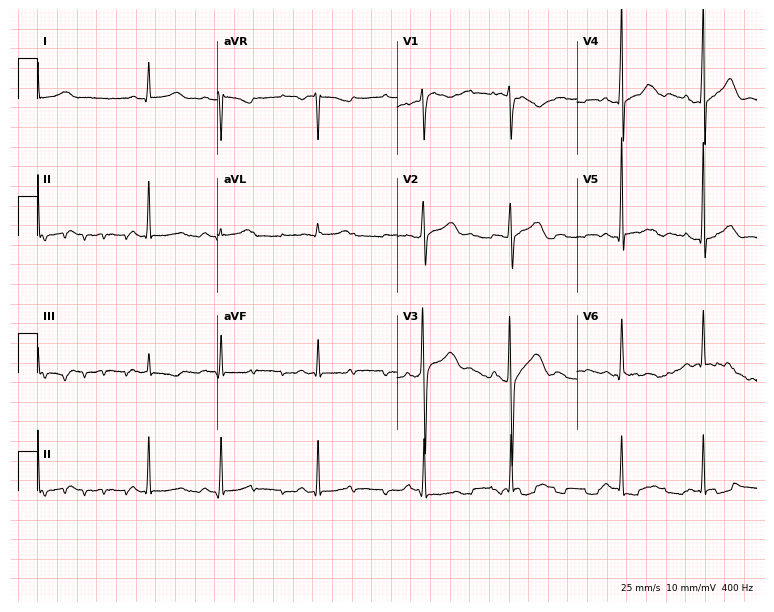
Standard 12-lead ECG recorded from a 76-year-old male. None of these six findings is recorded: first-degree AV block, right bundle branch block, left bundle branch block, sinus bradycardia, atrial fibrillation, sinus tachycardia.